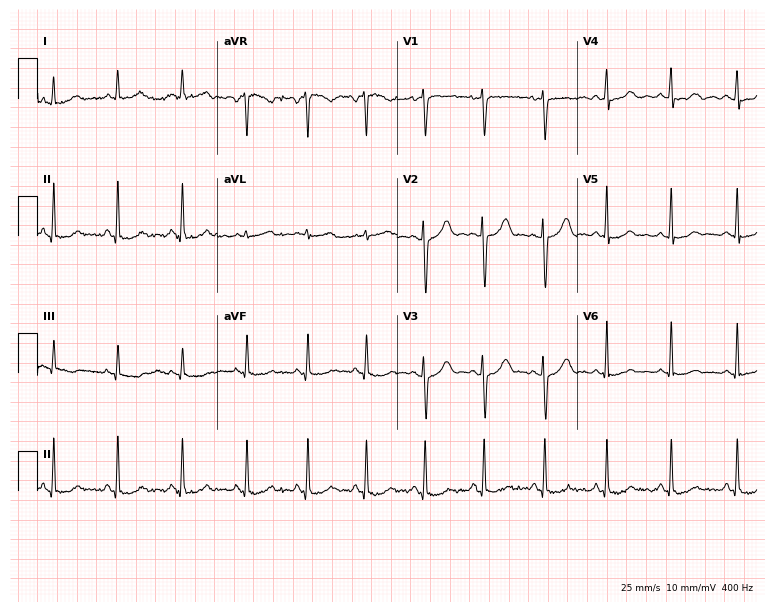
ECG — a 37-year-old woman. Screened for six findings — first-degree AV block, right bundle branch block, left bundle branch block, sinus bradycardia, atrial fibrillation, sinus tachycardia — none is recorded. Findings outside these six are not listed.